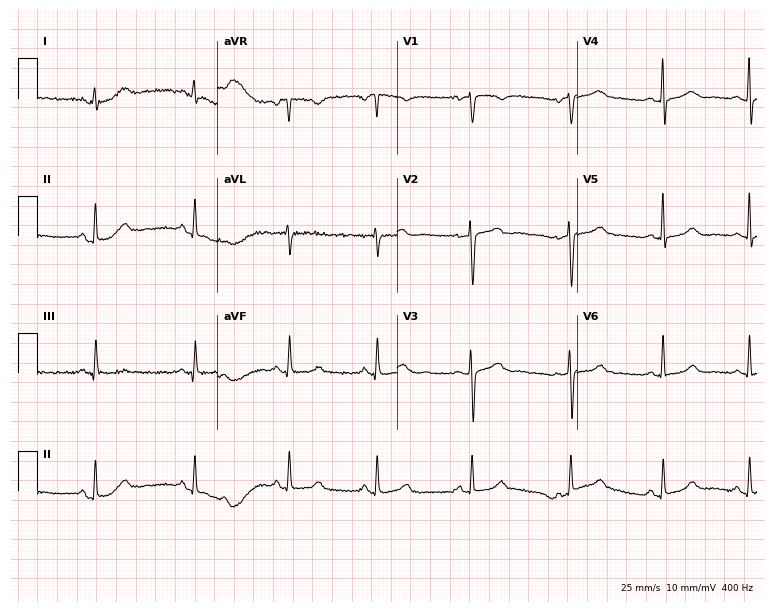
Electrocardiogram, a 38-year-old female. Overall reading on record: normal ECG.